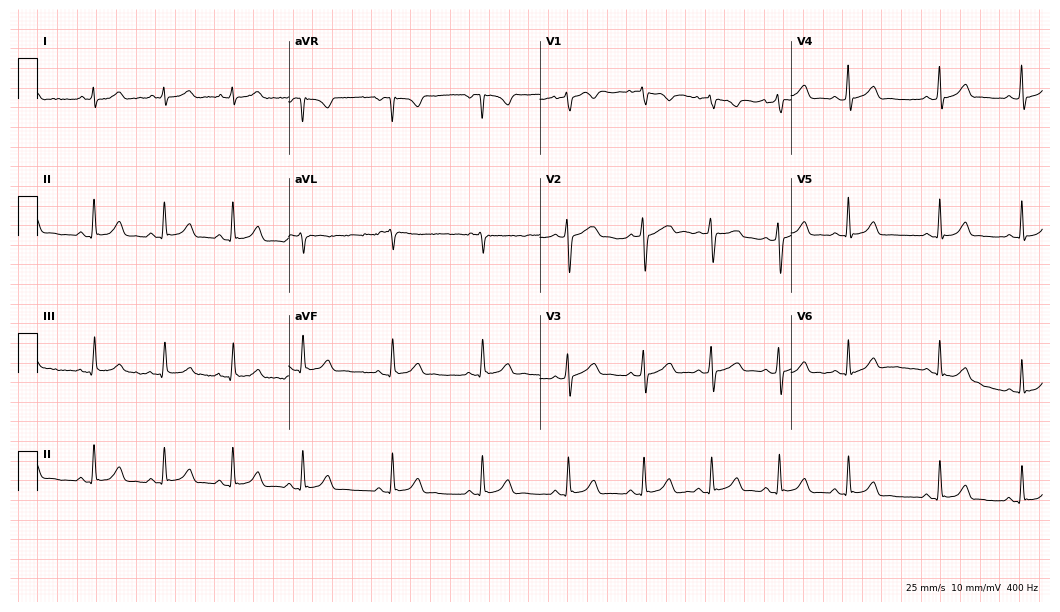
12-lead ECG from a woman, 29 years old. Labelled as a normal ECG.